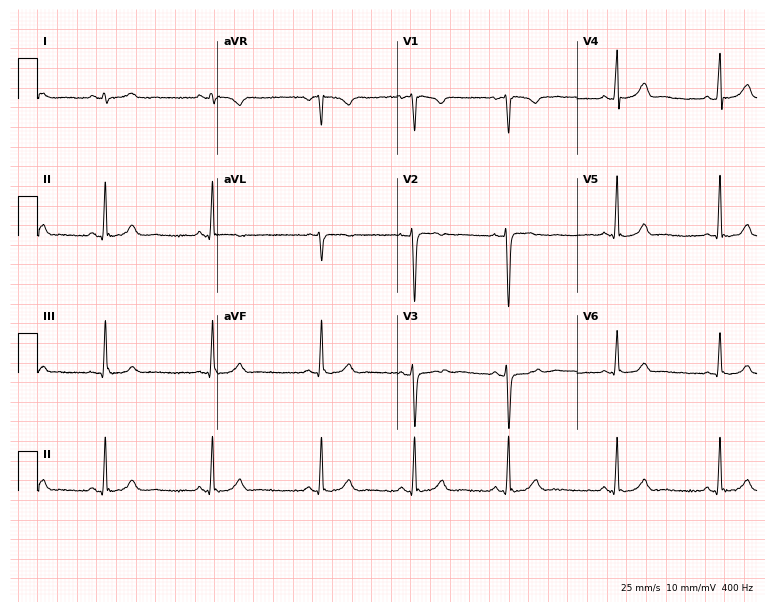
Electrocardiogram (7.3-second recording at 400 Hz), a woman, 20 years old. Overall reading on record: normal ECG.